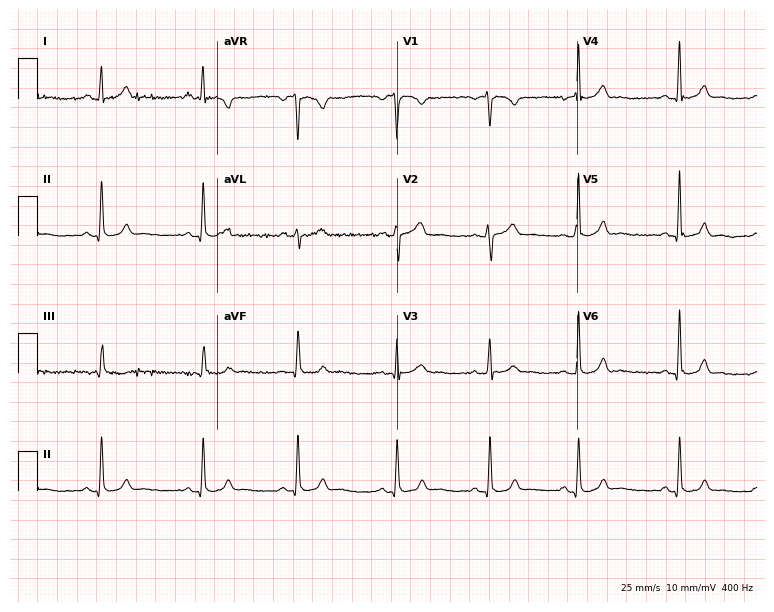
12-lead ECG from a woman, 28 years old. Recorded interpretation: within normal limits.